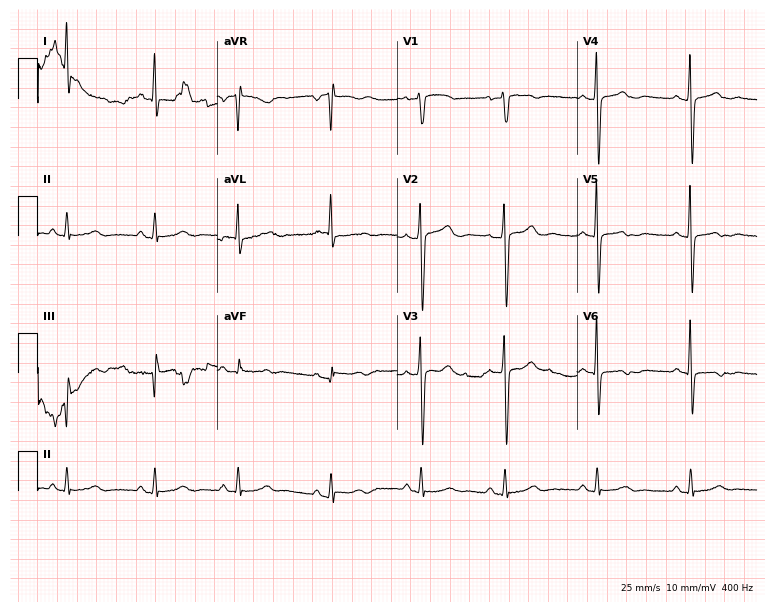
Resting 12-lead electrocardiogram. Patient: a 69-year-old female. None of these six findings is recorded: first-degree AV block, right bundle branch block, left bundle branch block, sinus bradycardia, atrial fibrillation, sinus tachycardia.